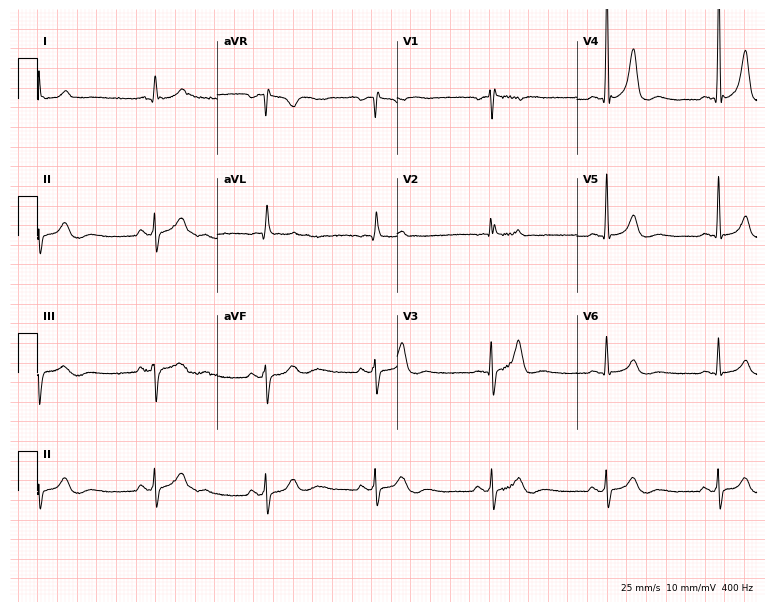
12-lead ECG from a male, 39 years old. No first-degree AV block, right bundle branch block, left bundle branch block, sinus bradycardia, atrial fibrillation or sinus tachycardia recorded for this tracing. Only these six findings were labelled.